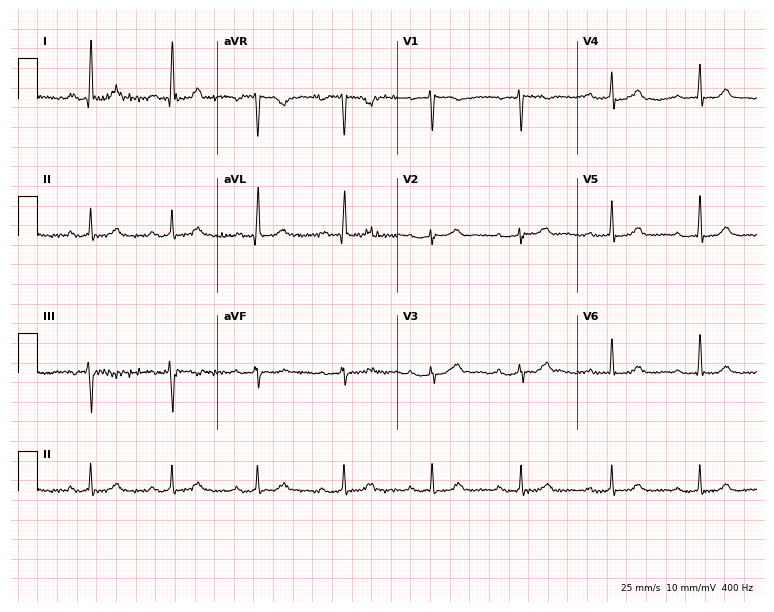
ECG (7.3-second recording at 400 Hz) — a woman, 60 years old. Labelled as a normal ECG.